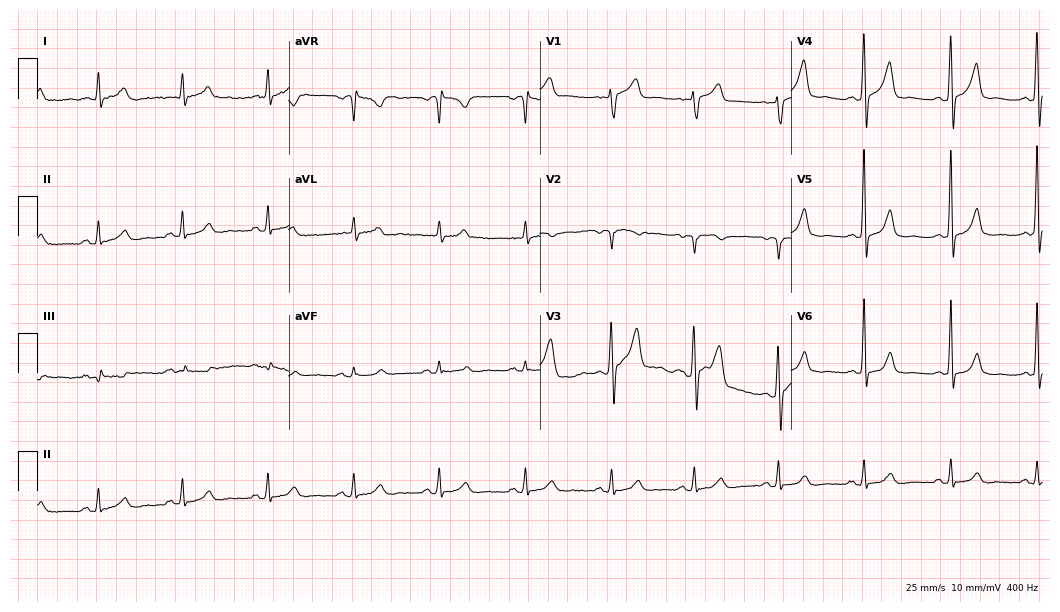
12-lead ECG from a 68-year-old male patient. Recorded interpretation: within normal limits.